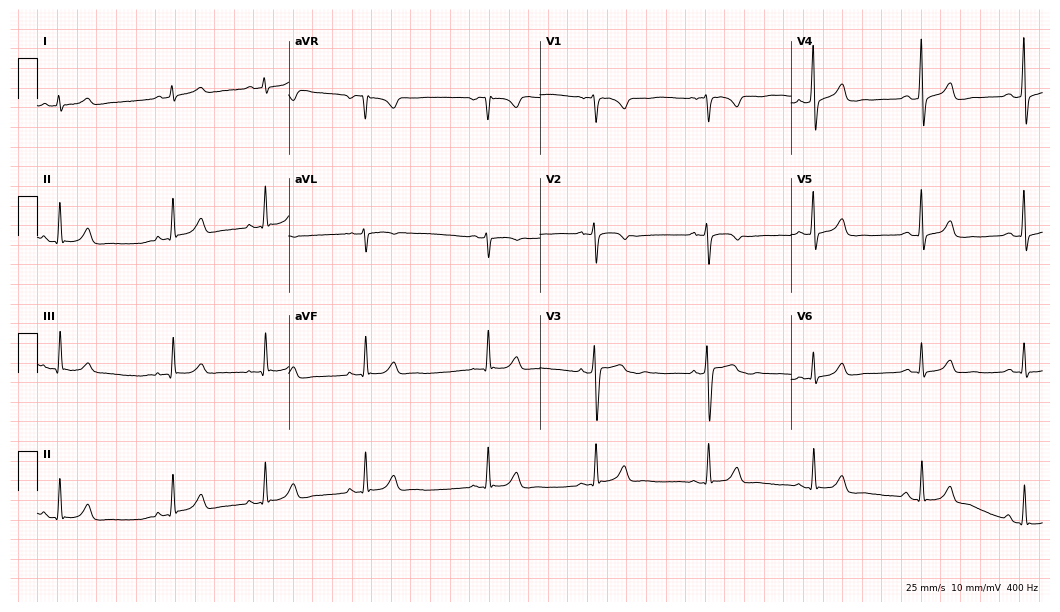
12-lead ECG from a female patient, 27 years old. No first-degree AV block, right bundle branch block, left bundle branch block, sinus bradycardia, atrial fibrillation or sinus tachycardia recorded for this tracing.